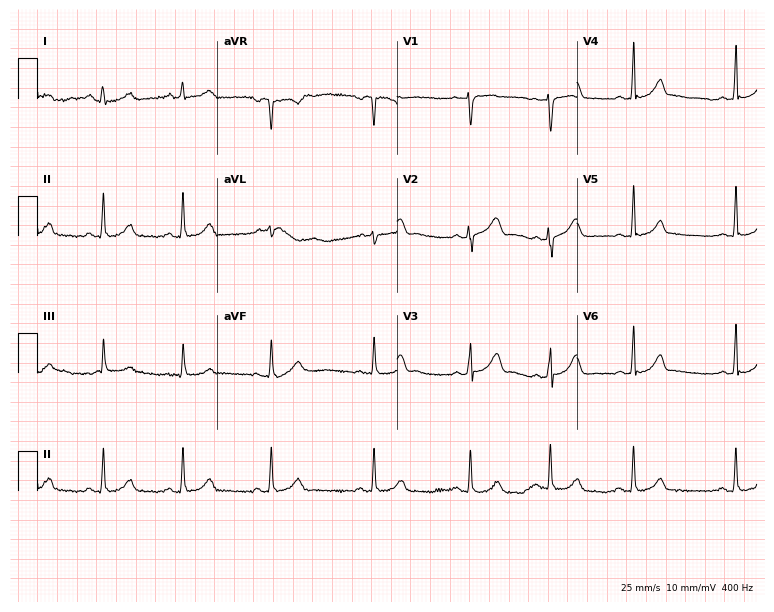
ECG (7.3-second recording at 400 Hz) — a female, 24 years old. Screened for six findings — first-degree AV block, right bundle branch block, left bundle branch block, sinus bradycardia, atrial fibrillation, sinus tachycardia — none is recorded. Findings outside these six are not listed.